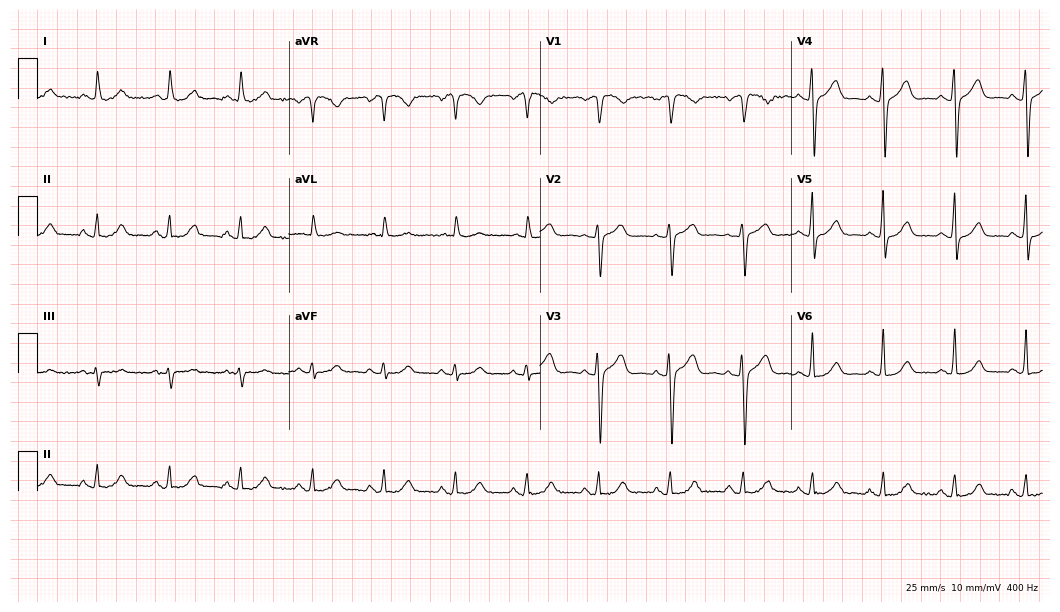
12-lead ECG (10.2-second recording at 400 Hz) from a 68-year-old female patient. Labelled as a normal ECG.